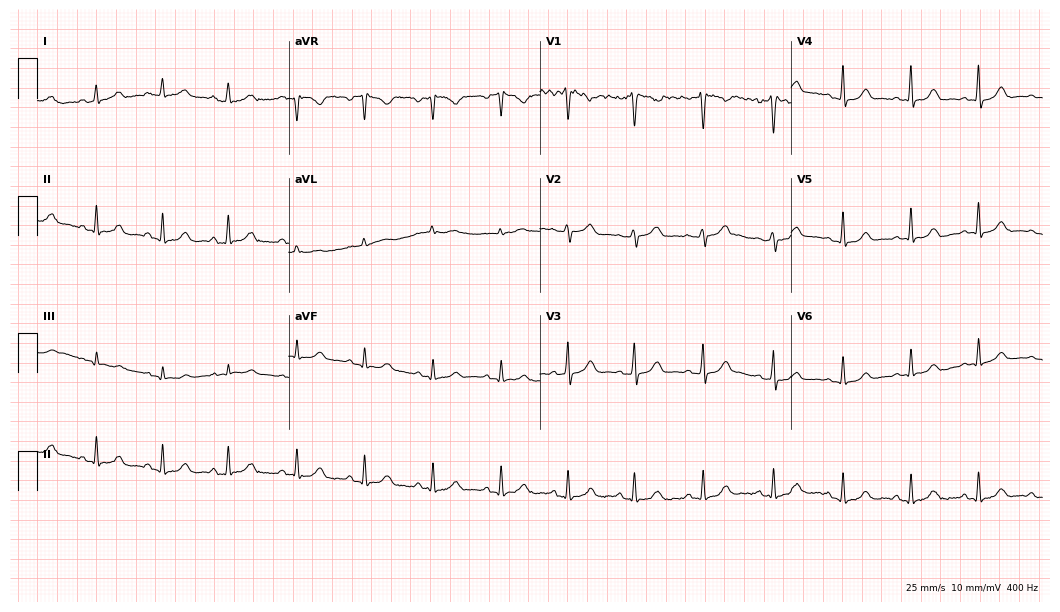
12-lead ECG from a 29-year-old female (10.2-second recording at 400 Hz). Recorded interpretation: within normal limits.